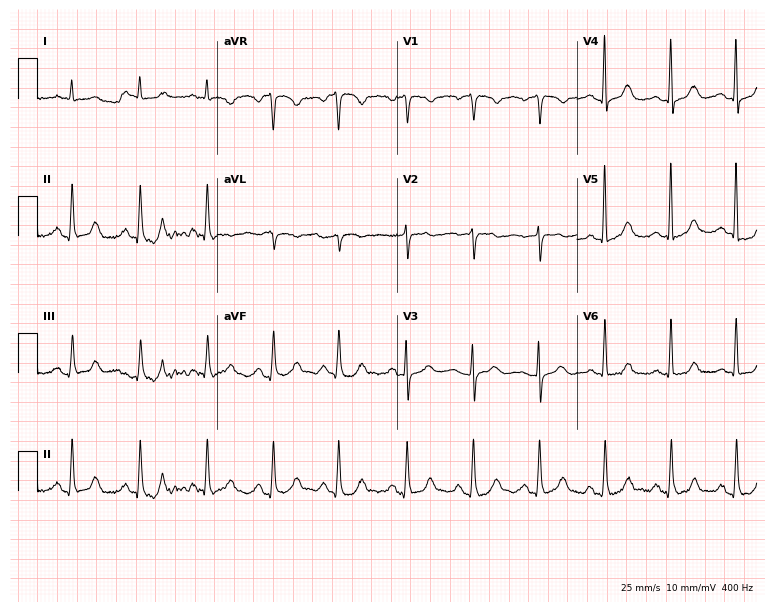
ECG — a 76-year-old female patient. Labelled as a normal ECG.